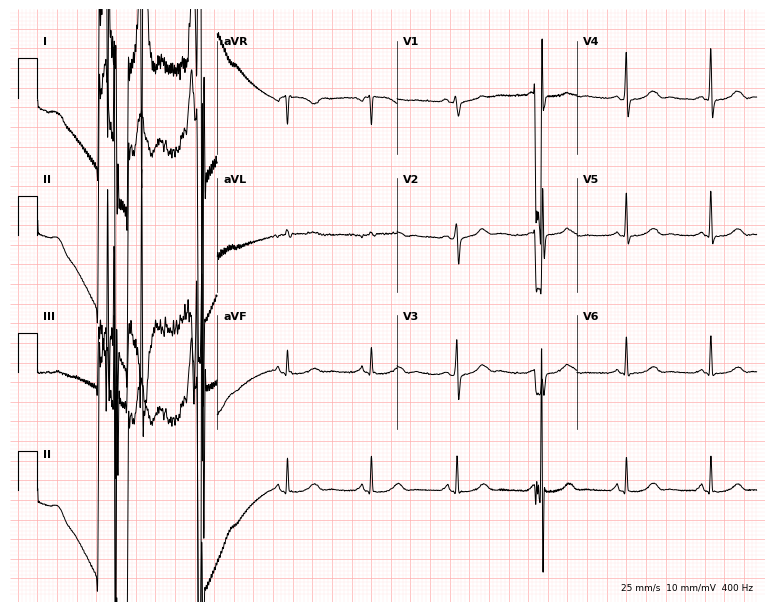
Resting 12-lead electrocardiogram. Patient: a 47-year-old female. Read as a normal ECG.